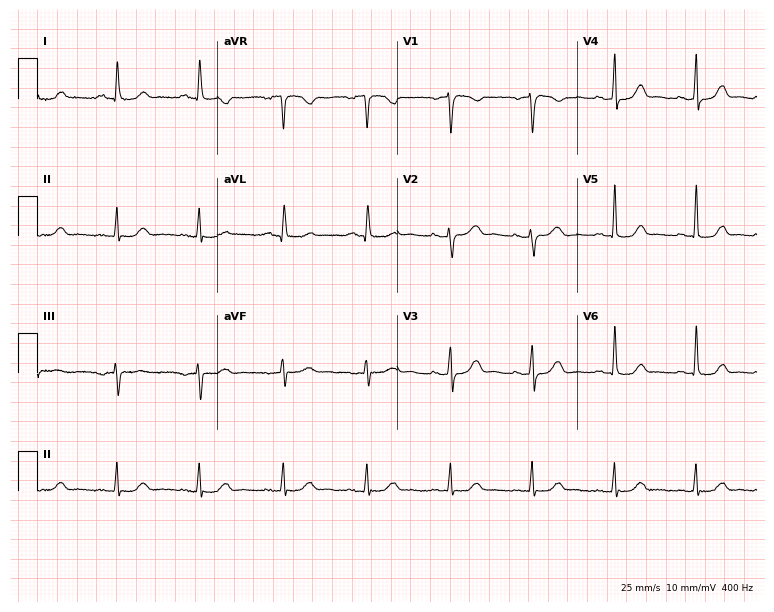
Standard 12-lead ECG recorded from a 51-year-old woman. None of these six findings is recorded: first-degree AV block, right bundle branch block (RBBB), left bundle branch block (LBBB), sinus bradycardia, atrial fibrillation (AF), sinus tachycardia. Findings outside these six are not listed.